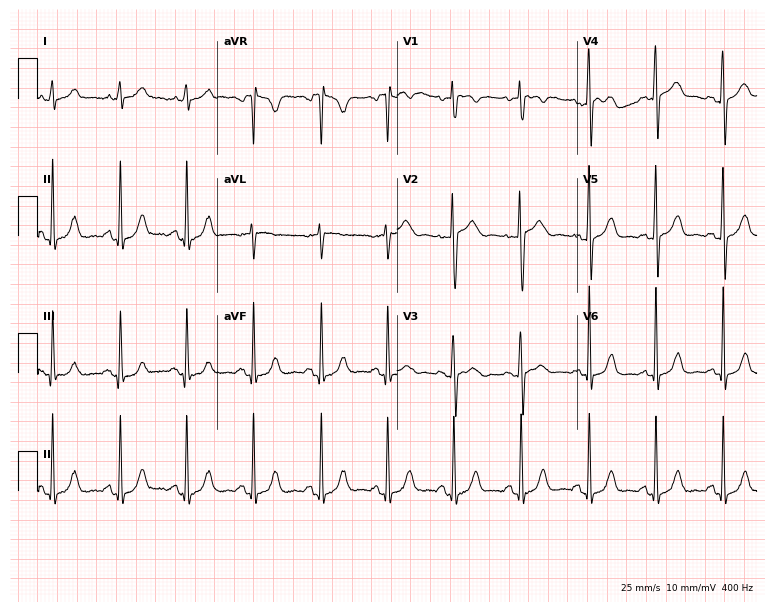
12-lead ECG from a woman, 62 years old (7.3-second recording at 400 Hz). Recorded interpretation: within normal limits.